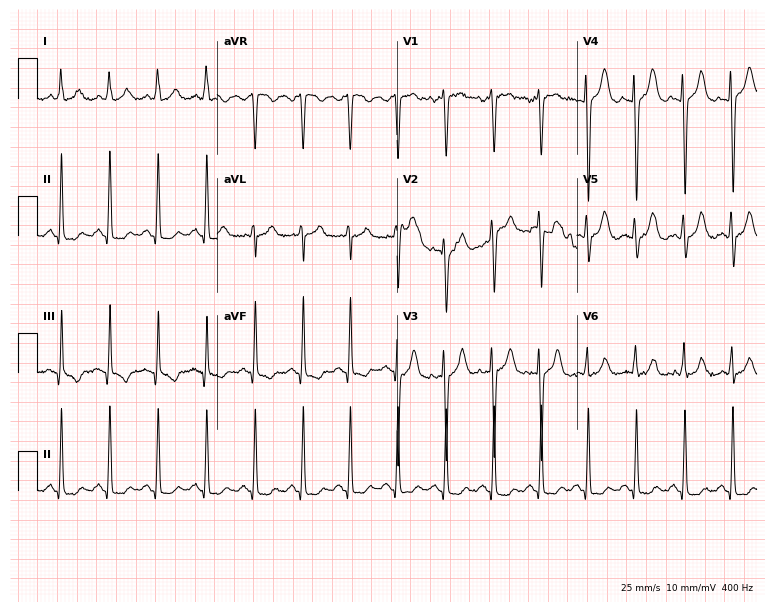
Electrocardiogram, a female, 29 years old. Interpretation includes sinus tachycardia (a sinus rate of 100 beats per minute or more).